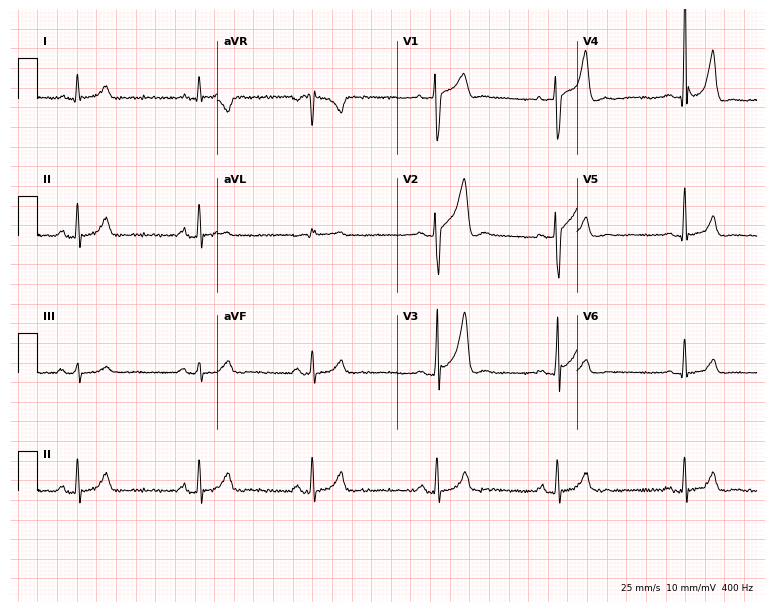
12-lead ECG (7.3-second recording at 400 Hz) from a 52-year-old male. Screened for six findings — first-degree AV block, right bundle branch block (RBBB), left bundle branch block (LBBB), sinus bradycardia, atrial fibrillation (AF), sinus tachycardia — none is recorded. Findings outside these six are not listed.